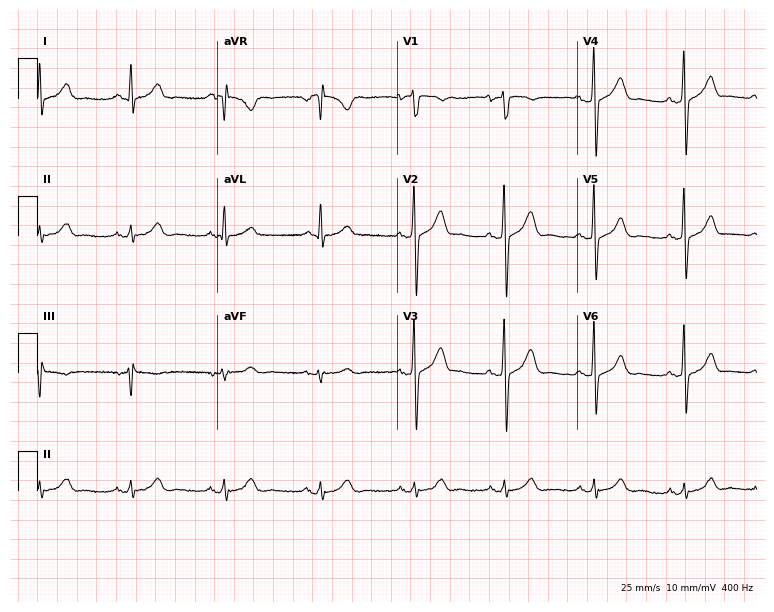
12-lead ECG (7.3-second recording at 400 Hz) from a man, 40 years old. Labelled as a normal ECG.